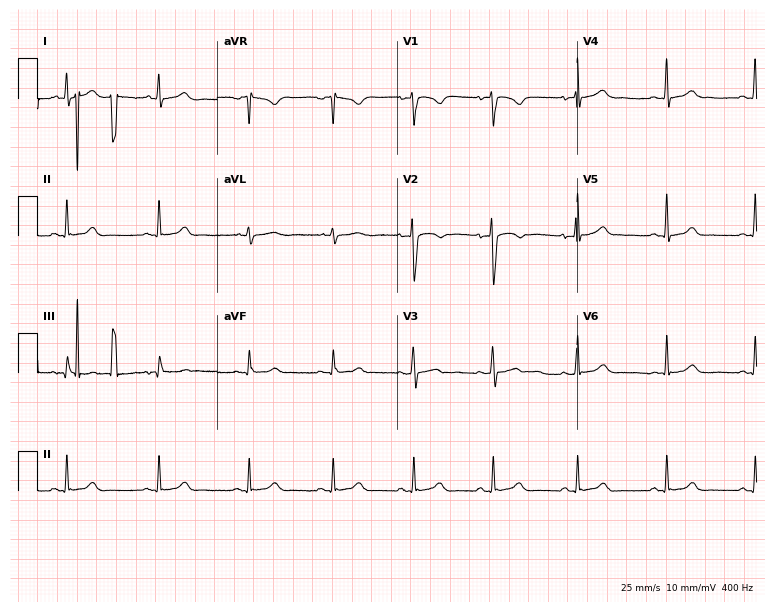
Standard 12-lead ECG recorded from a female patient, 22 years old (7.3-second recording at 400 Hz). Read as a normal ECG.